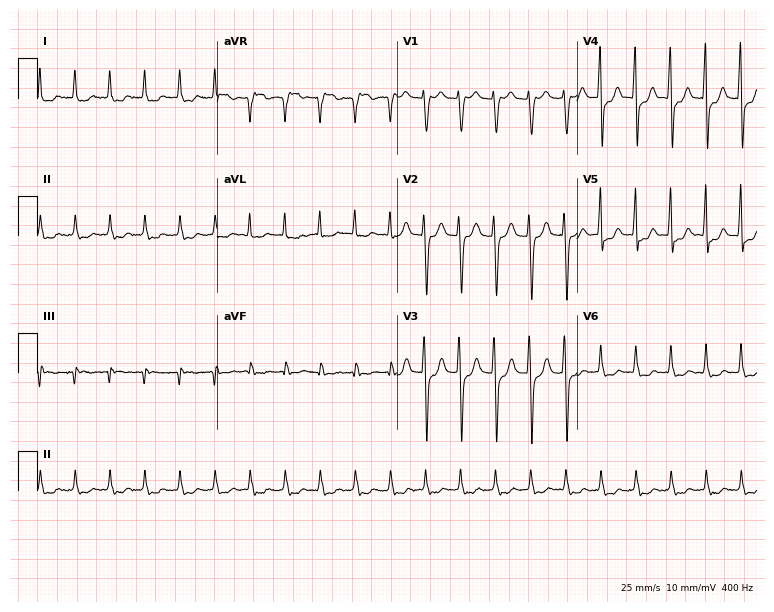
Standard 12-lead ECG recorded from a woman, 57 years old (7.3-second recording at 400 Hz). None of these six findings is recorded: first-degree AV block, right bundle branch block, left bundle branch block, sinus bradycardia, atrial fibrillation, sinus tachycardia. Findings outside these six are not listed.